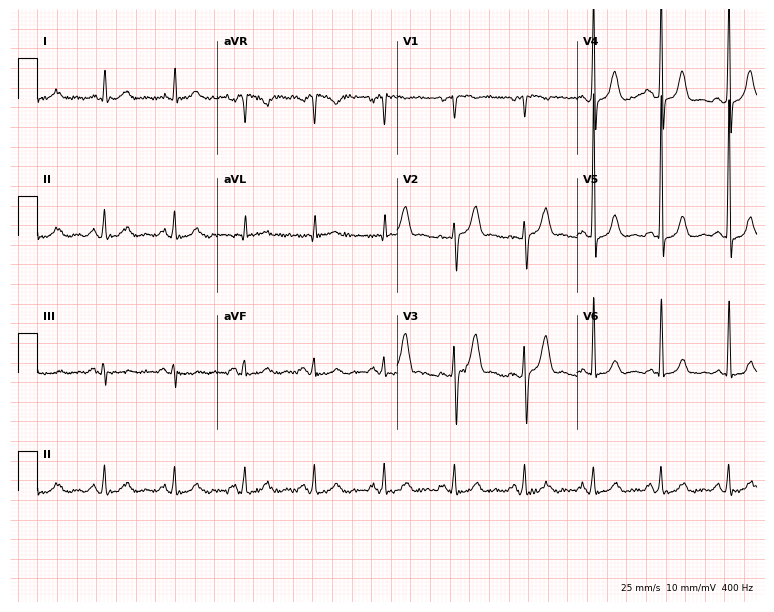
Electrocardiogram (7.3-second recording at 400 Hz), a 53-year-old male patient. Overall reading on record: normal ECG.